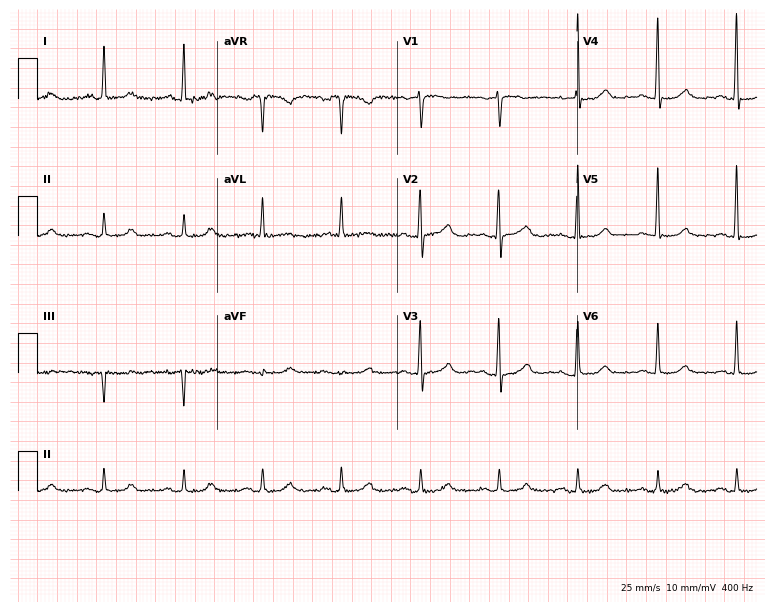
12-lead ECG from a female, 85 years old. No first-degree AV block, right bundle branch block, left bundle branch block, sinus bradycardia, atrial fibrillation or sinus tachycardia recorded for this tracing.